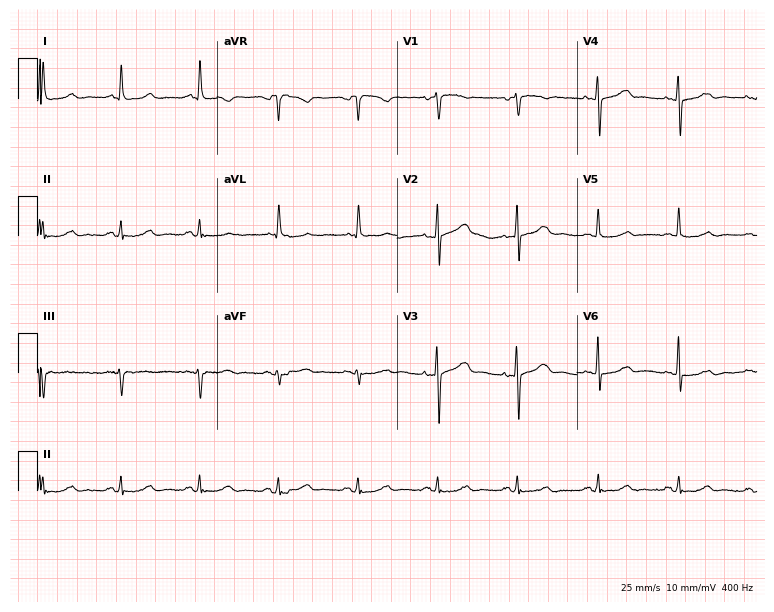
Electrocardiogram (7.3-second recording at 400 Hz), an 80-year-old woman. Overall reading on record: normal ECG.